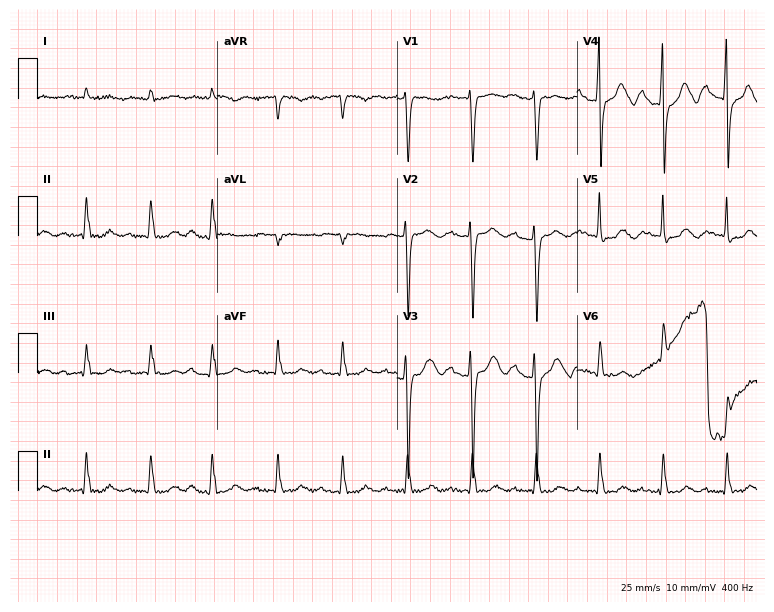
ECG — a male, 82 years old. Findings include first-degree AV block.